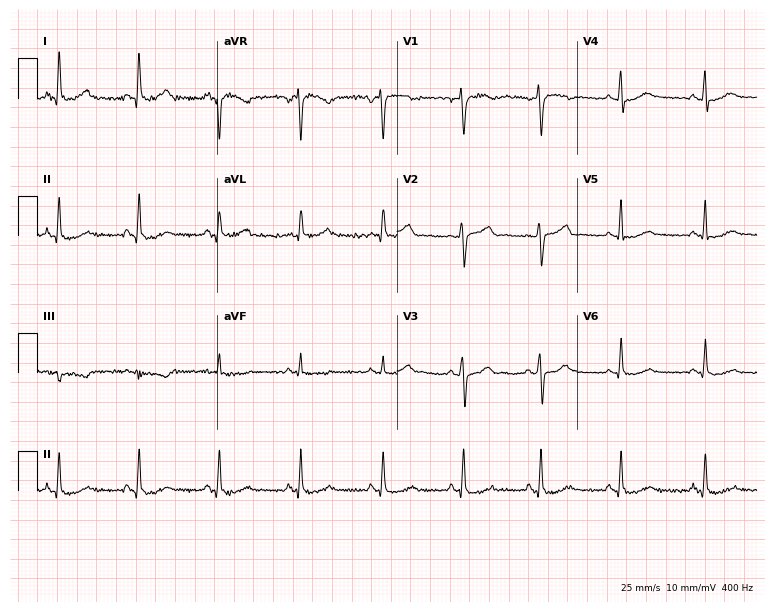
12-lead ECG (7.3-second recording at 400 Hz) from a female, 57 years old. Screened for six findings — first-degree AV block, right bundle branch block, left bundle branch block, sinus bradycardia, atrial fibrillation, sinus tachycardia — none is recorded. Findings outside these six are not listed.